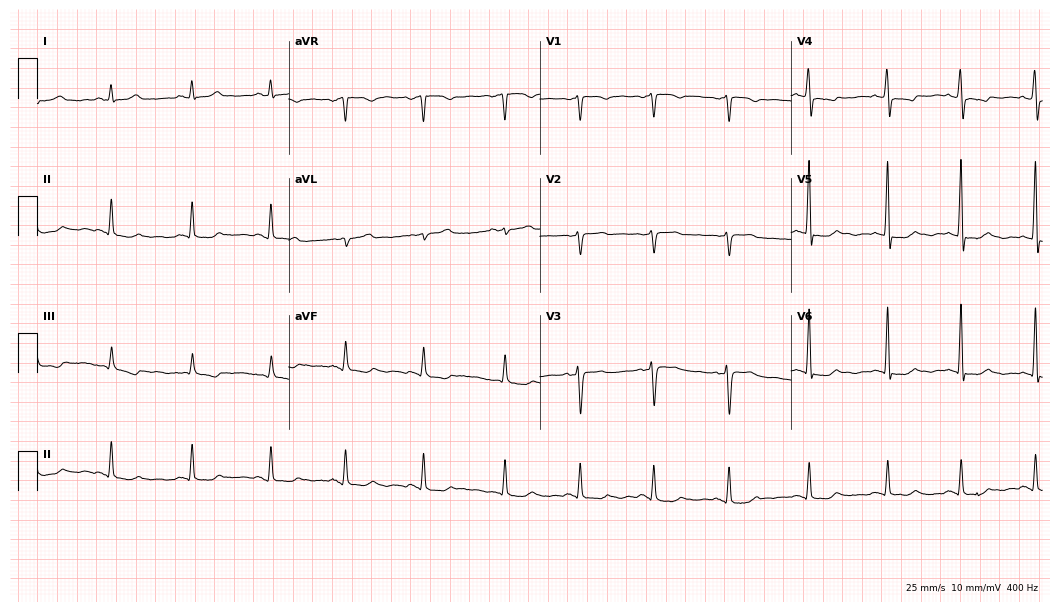
Electrocardiogram, a female, 55 years old. Of the six screened findings (first-degree AV block, right bundle branch block (RBBB), left bundle branch block (LBBB), sinus bradycardia, atrial fibrillation (AF), sinus tachycardia), none is recorded.